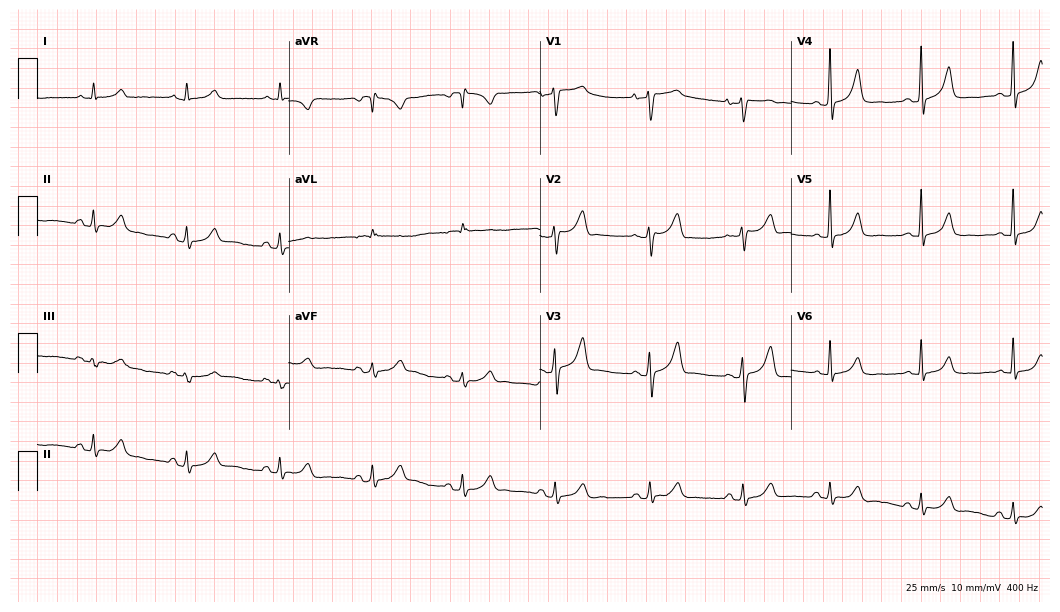
12-lead ECG from a woman, 72 years old. No first-degree AV block, right bundle branch block, left bundle branch block, sinus bradycardia, atrial fibrillation or sinus tachycardia recorded for this tracing.